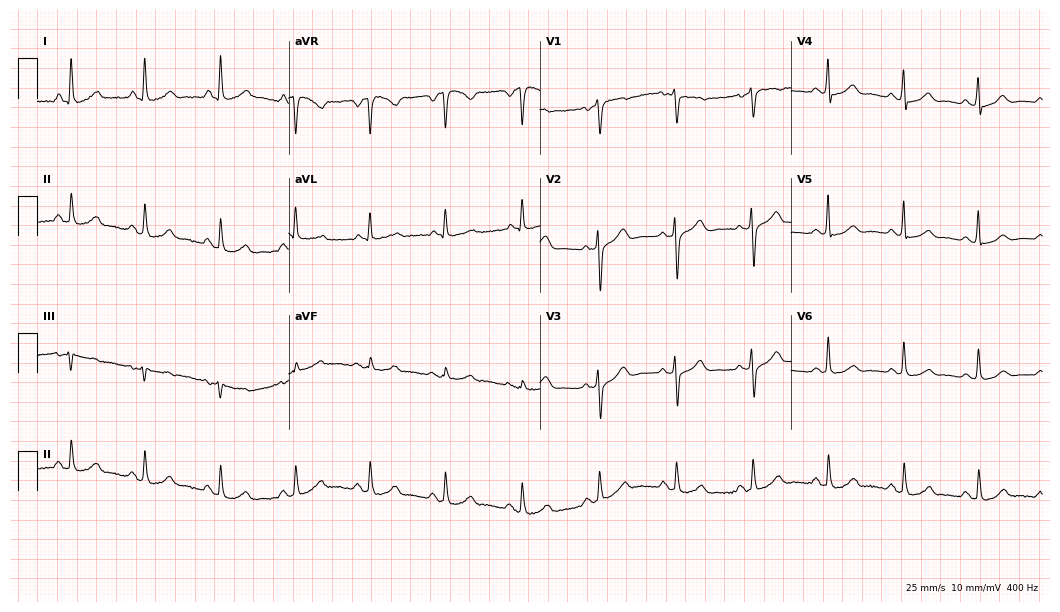
12-lead ECG (10.2-second recording at 400 Hz) from a man, 53 years old. Screened for six findings — first-degree AV block, right bundle branch block, left bundle branch block, sinus bradycardia, atrial fibrillation, sinus tachycardia — none is recorded.